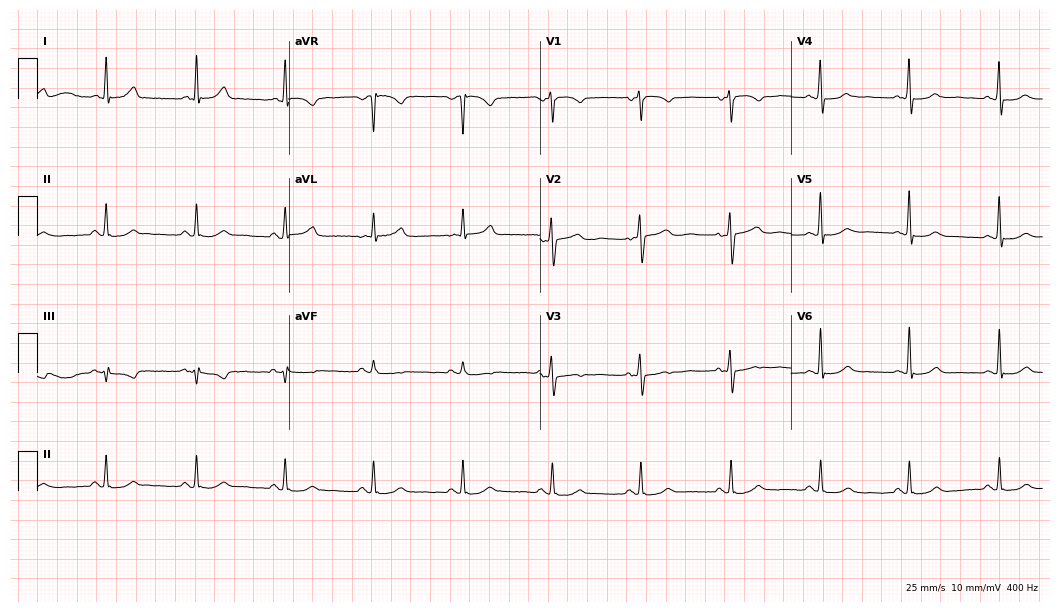
12-lead ECG (10.2-second recording at 400 Hz) from a female patient, 69 years old. Labelled as a normal ECG.